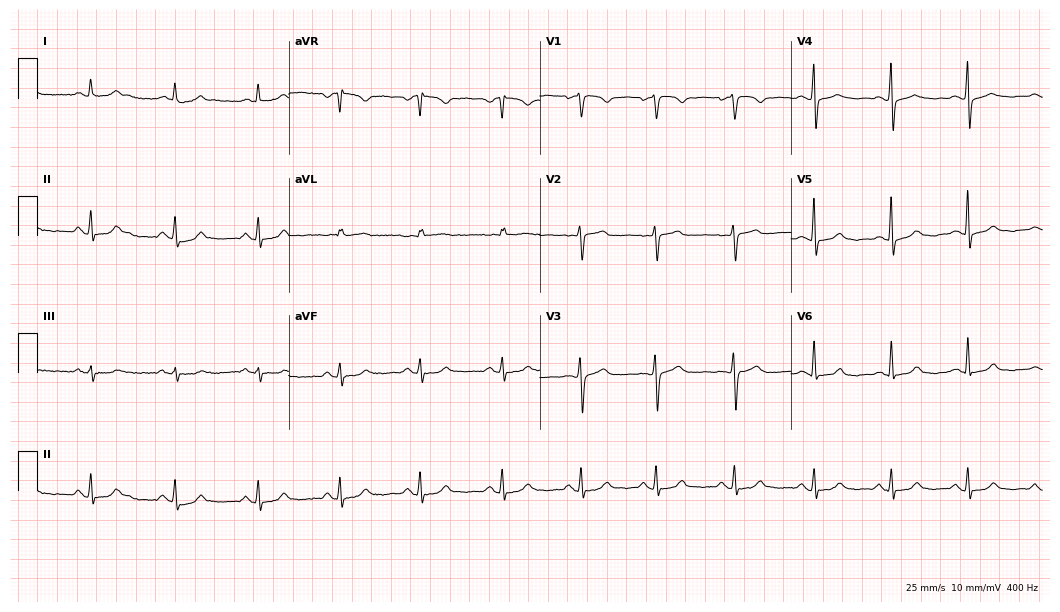
Standard 12-lead ECG recorded from a woman, 43 years old. Read as a normal ECG.